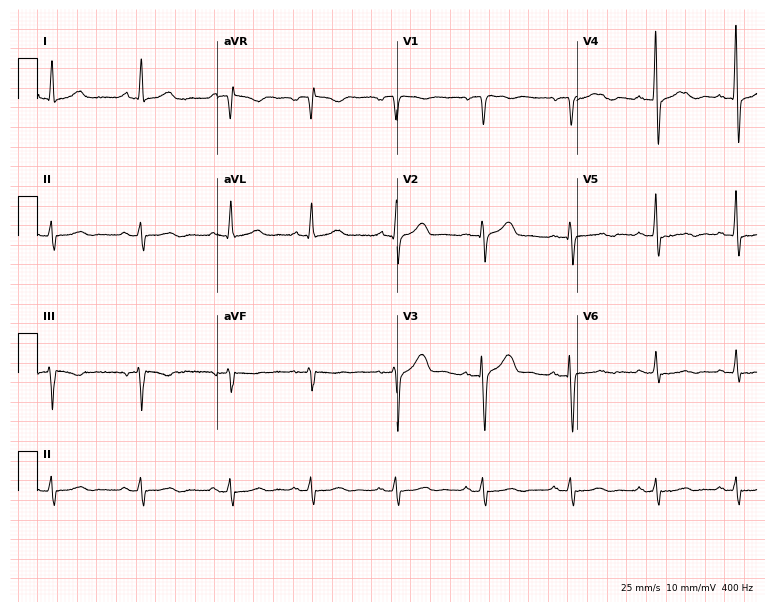
12-lead ECG from a man, 55 years old. Screened for six findings — first-degree AV block, right bundle branch block, left bundle branch block, sinus bradycardia, atrial fibrillation, sinus tachycardia — none is recorded.